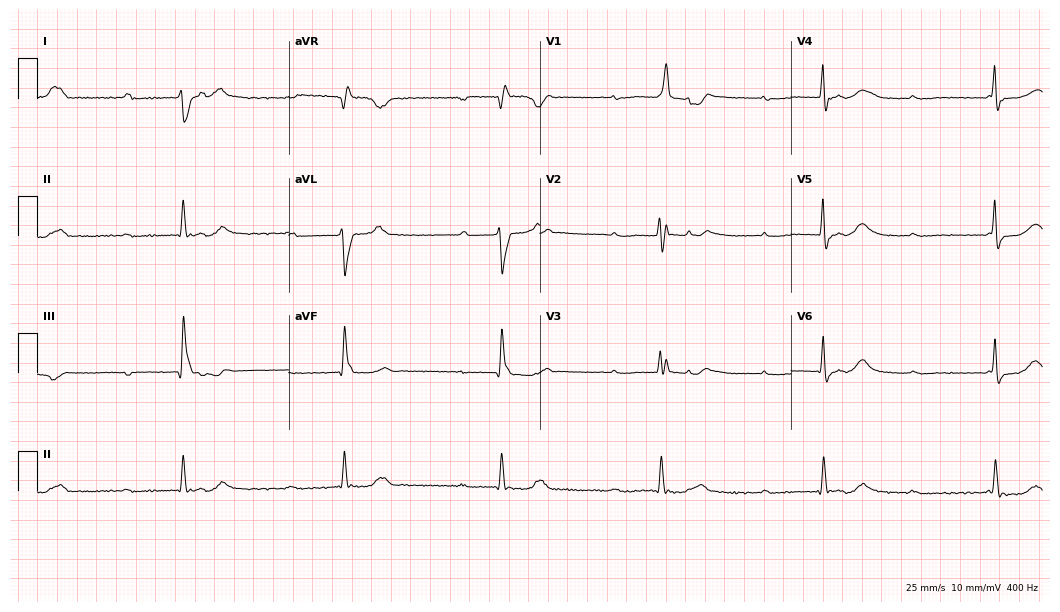
12-lead ECG from a 39-year-old female patient. Findings include first-degree AV block, right bundle branch block (RBBB).